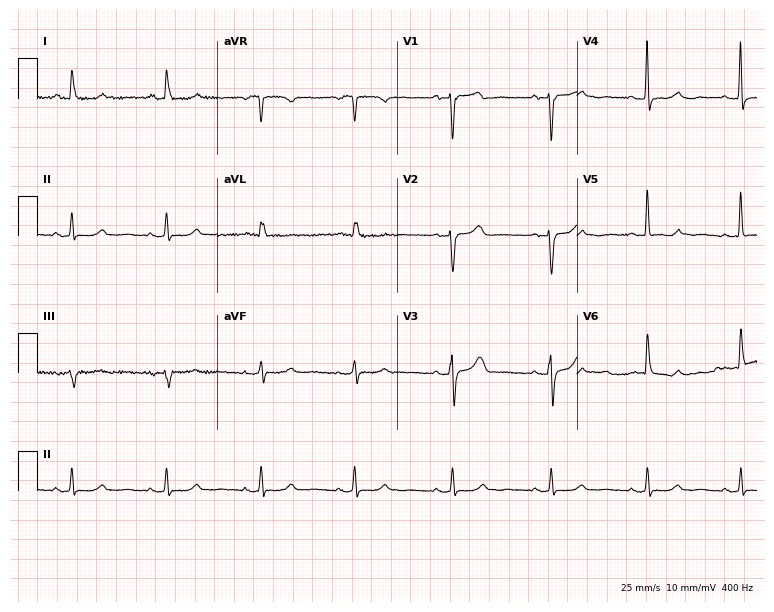
ECG — a 50-year-old woman. Labelled as a normal ECG.